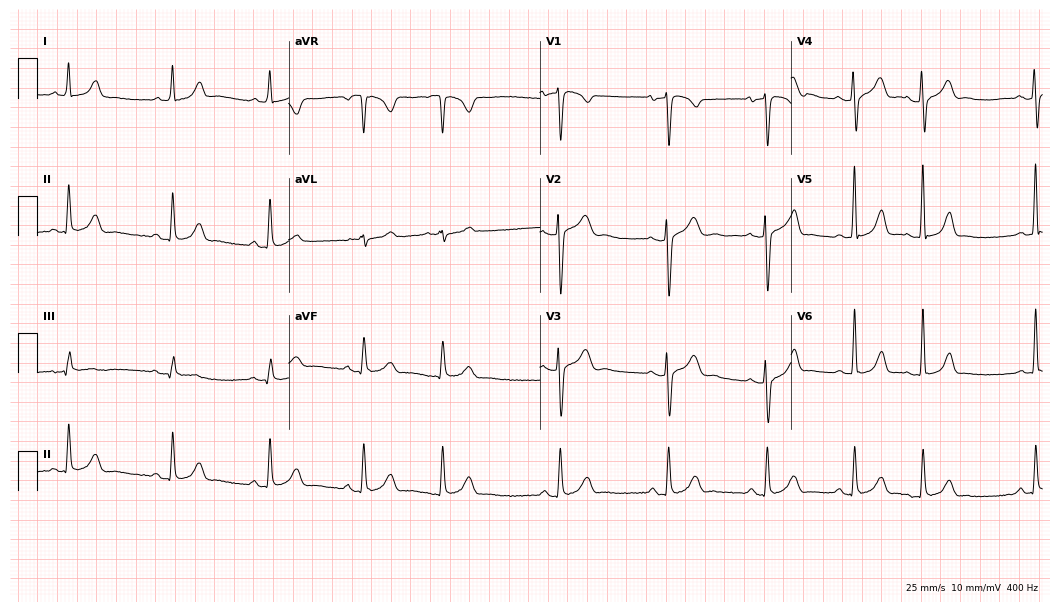
Electrocardiogram (10.2-second recording at 400 Hz), a 36-year-old male patient. Overall reading on record: normal ECG.